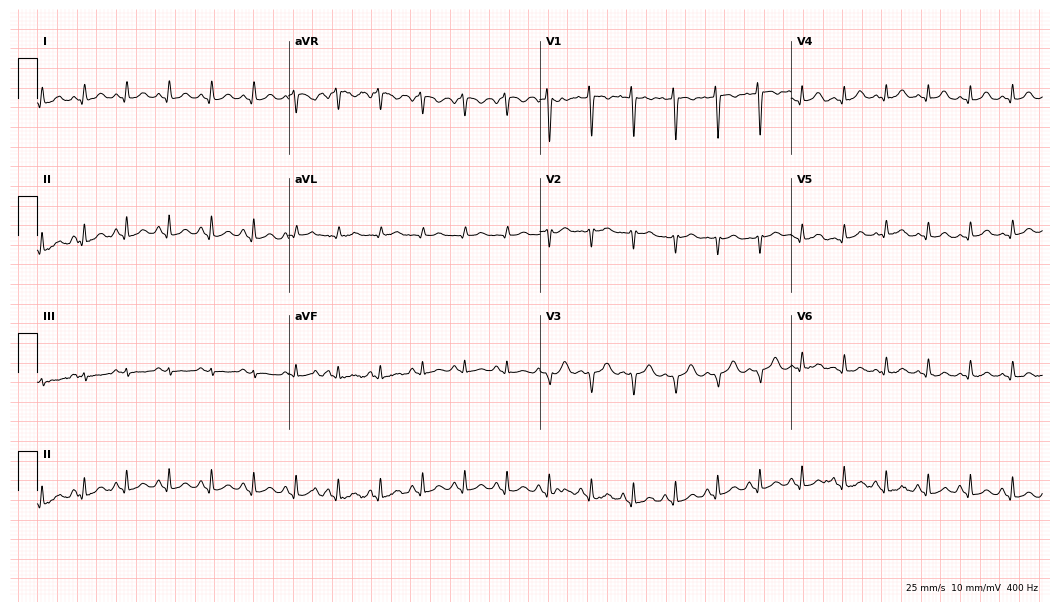
12-lead ECG from a female patient, 40 years old (10.2-second recording at 400 Hz). Shows sinus tachycardia (a sinus rate of 100 beats per minute or more).